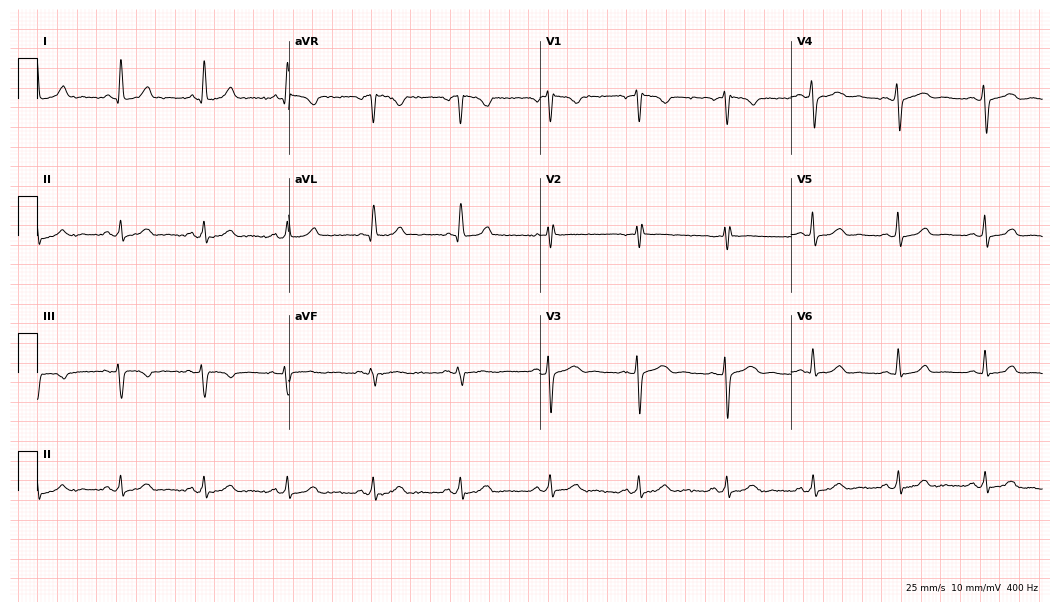
12-lead ECG (10.2-second recording at 400 Hz) from a woman, 47 years old. Screened for six findings — first-degree AV block, right bundle branch block, left bundle branch block, sinus bradycardia, atrial fibrillation, sinus tachycardia — none is recorded. Only these six findings were labelled.